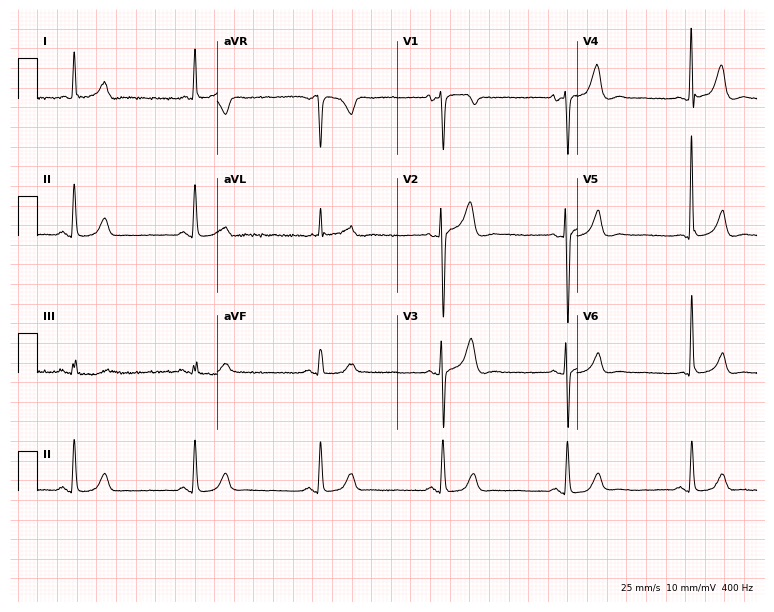
Standard 12-lead ECG recorded from an 84-year-old female. The tracing shows sinus bradycardia (a sinus rate of 50 beats per minute or less).